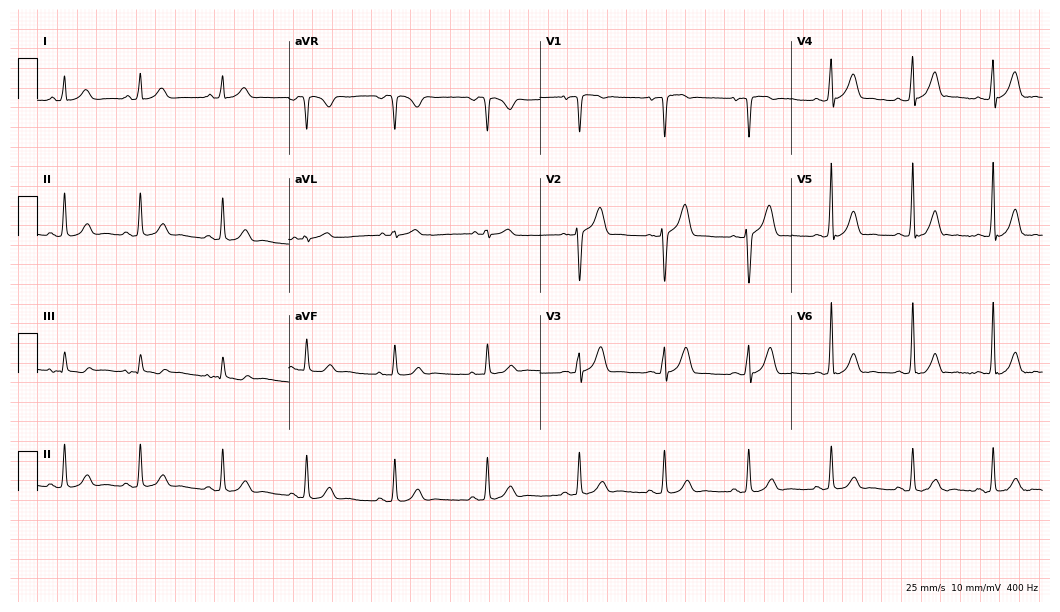
Resting 12-lead electrocardiogram (10.2-second recording at 400 Hz). Patient: a man, 42 years old. None of these six findings is recorded: first-degree AV block, right bundle branch block (RBBB), left bundle branch block (LBBB), sinus bradycardia, atrial fibrillation (AF), sinus tachycardia. Only these six findings were labelled.